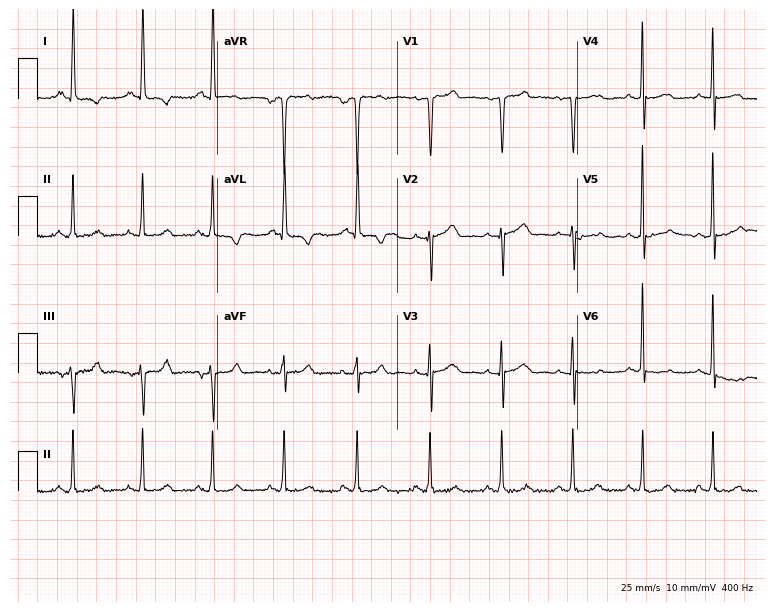
Resting 12-lead electrocardiogram (7.3-second recording at 400 Hz). Patient: a woman, 61 years old. None of these six findings is recorded: first-degree AV block, right bundle branch block, left bundle branch block, sinus bradycardia, atrial fibrillation, sinus tachycardia.